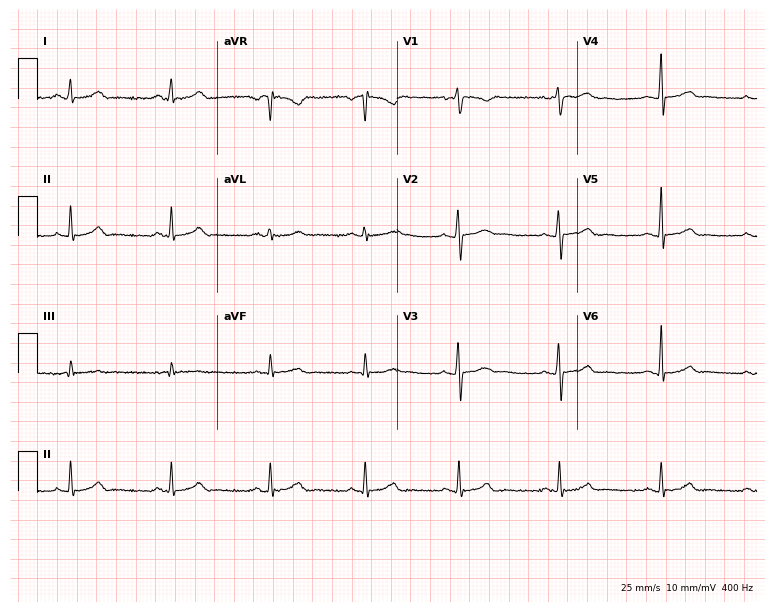
12-lead ECG from a male patient, 28 years old. Labelled as a normal ECG.